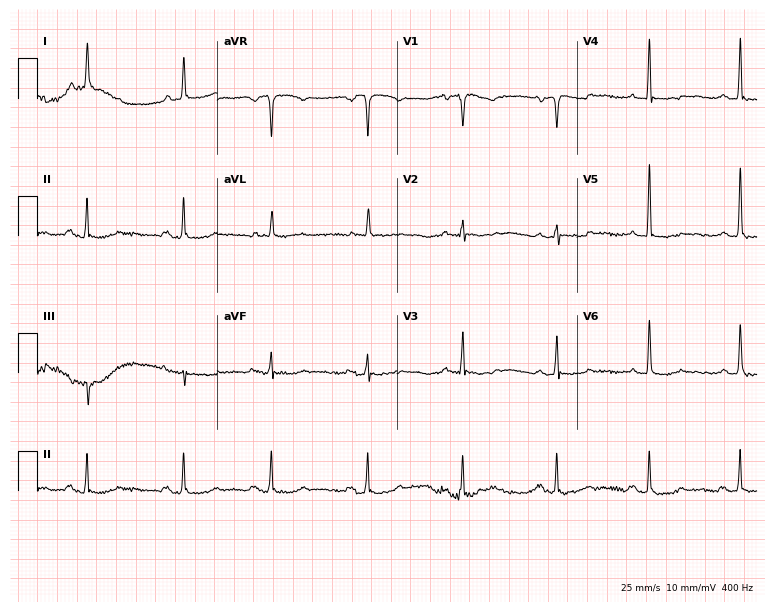
ECG — a 72-year-old female. Screened for six findings — first-degree AV block, right bundle branch block (RBBB), left bundle branch block (LBBB), sinus bradycardia, atrial fibrillation (AF), sinus tachycardia — none is recorded. Other findings, if any, are not listed.